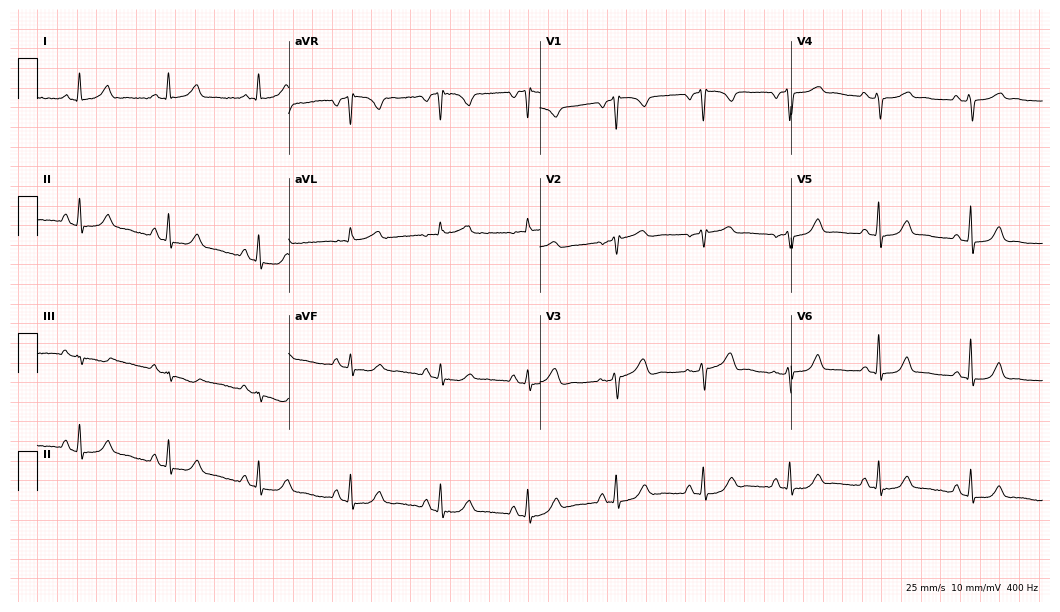
ECG — a woman, 67 years old. Labelled as a normal ECG.